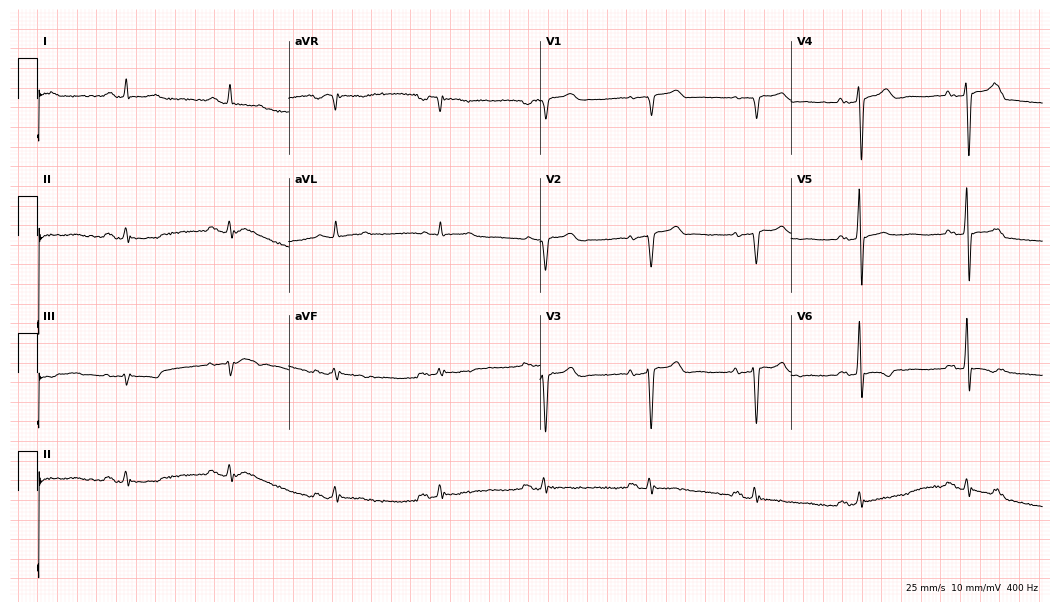
12-lead ECG from a man, 64 years old. No first-degree AV block, right bundle branch block, left bundle branch block, sinus bradycardia, atrial fibrillation or sinus tachycardia recorded for this tracing. Only these six findings were labelled.